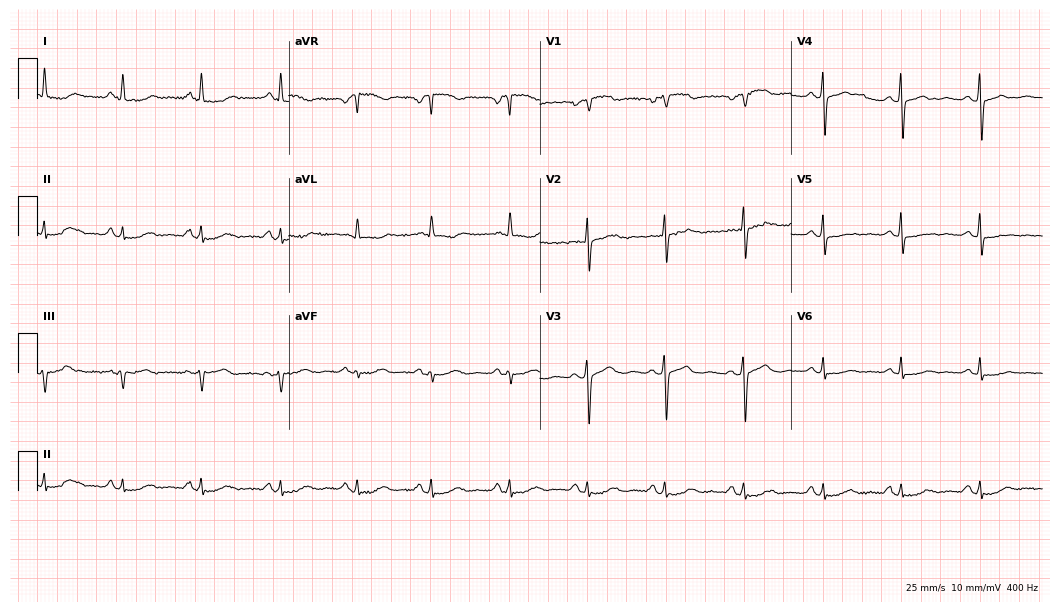
Resting 12-lead electrocardiogram (10.2-second recording at 400 Hz). Patient: a woman, 65 years old. Read as a normal ECG.